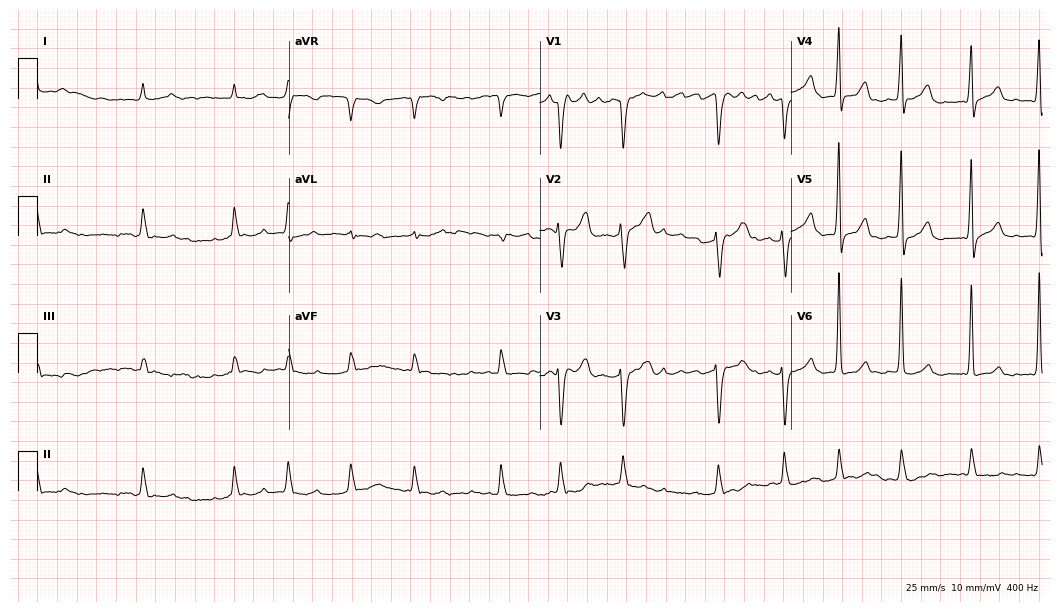
Electrocardiogram (10.2-second recording at 400 Hz), a 79-year-old female. Of the six screened findings (first-degree AV block, right bundle branch block, left bundle branch block, sinus bradycardia, atrial fibrillation, sinus tachycardia), none is recorded. Findings outside these six are not listed.